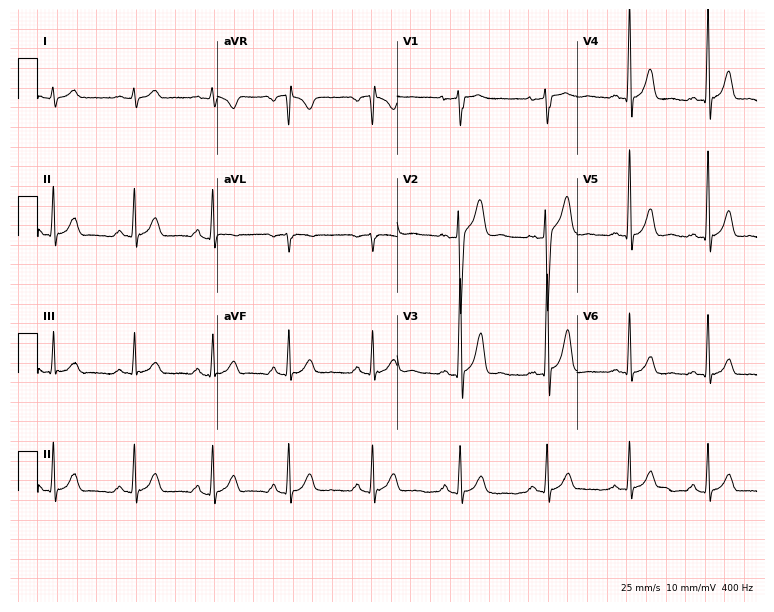
Electrocardiogram (7.3-second recording at 400 Hz), a 24-year-old male patient. Overall reading on record: normal ECG.